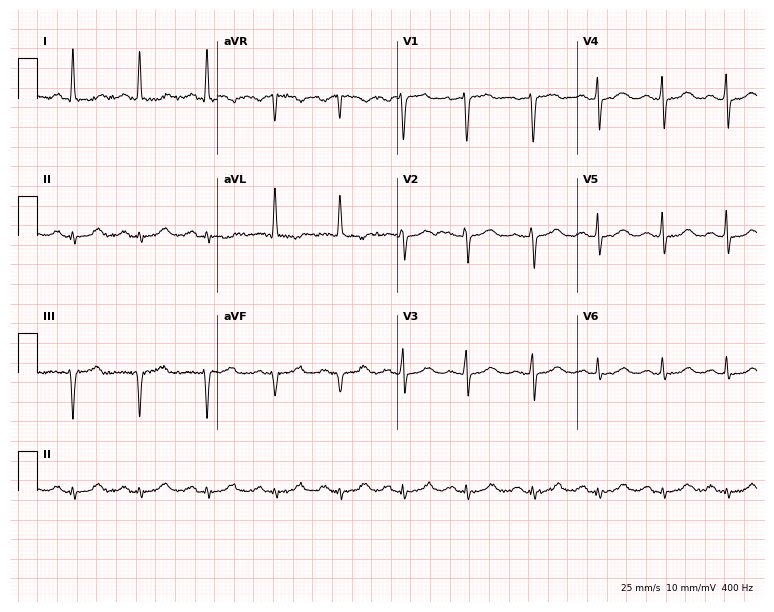
ECG (7.3-second recording at 400 Hz) — a female patient, 57 years old. Labelled as a normal ECG.